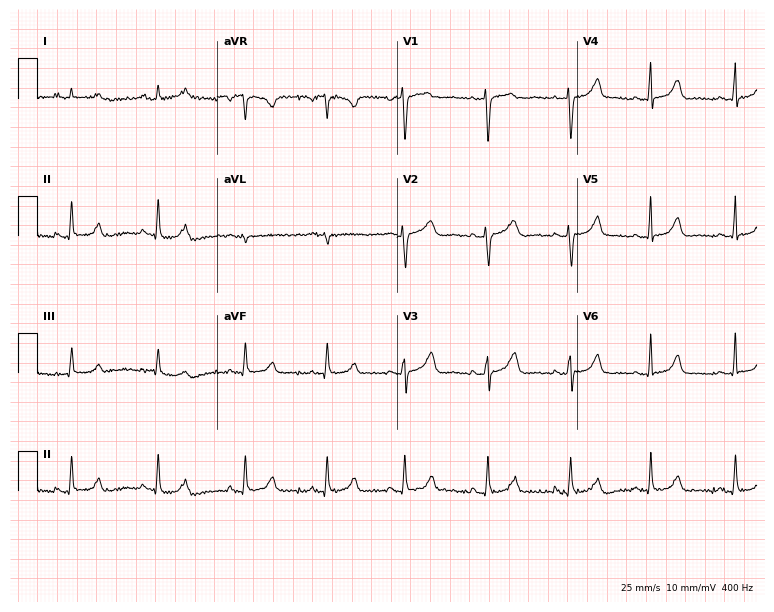
ECG (7.3-second recording at 400 Hz) — a woman, 33 years old. Labelled as a normal ECG.